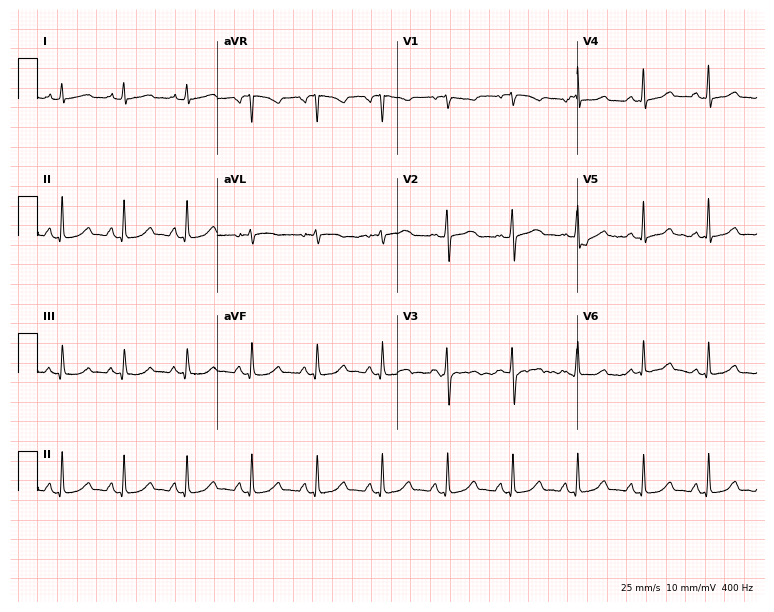
Resting 12-lead electrocardiogram (7.3-second recording at 400 Hz). Patient: a female, 39 years old. Read as a normal ECG.